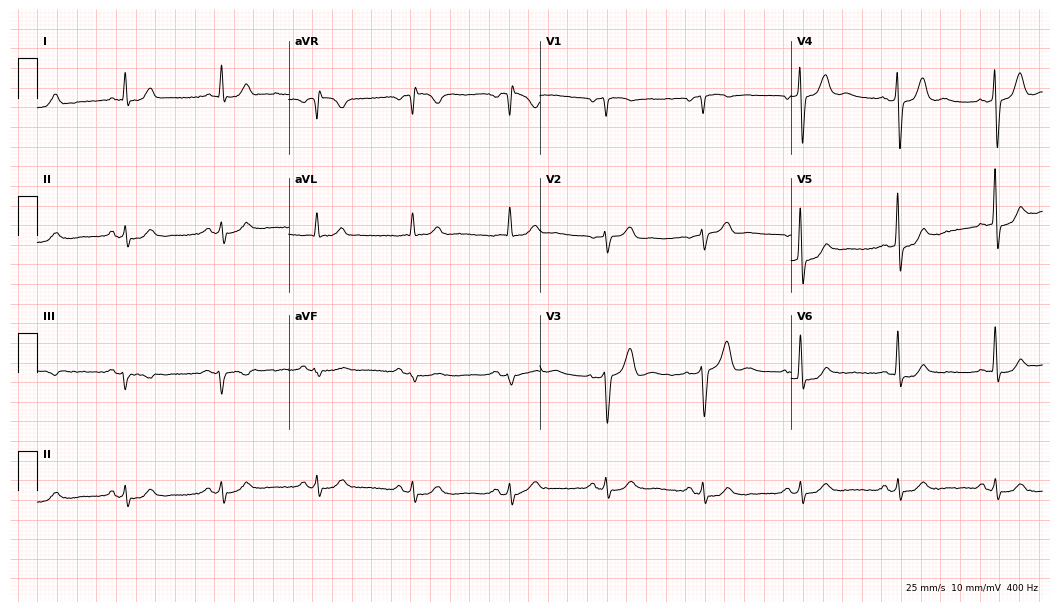
12-lead ECG from a 67-year-old male. Recorded interpretation: within normal limits.